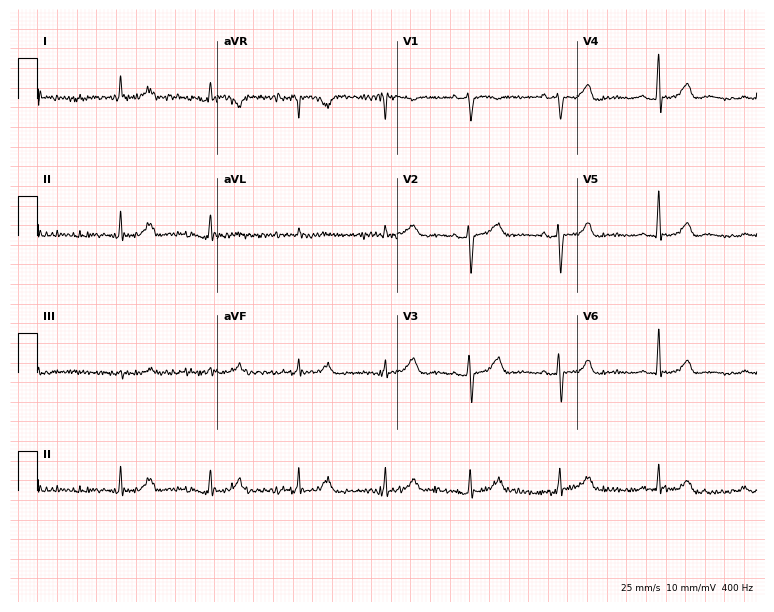
Electrocardiogram, a 73-year-old female patient. Of the six screened findings (first-degree AV block, right bundle branch block, left bundle branch block, sinus bradycardia, atrial fibrillation, sinus tachycardia), none is recorded.